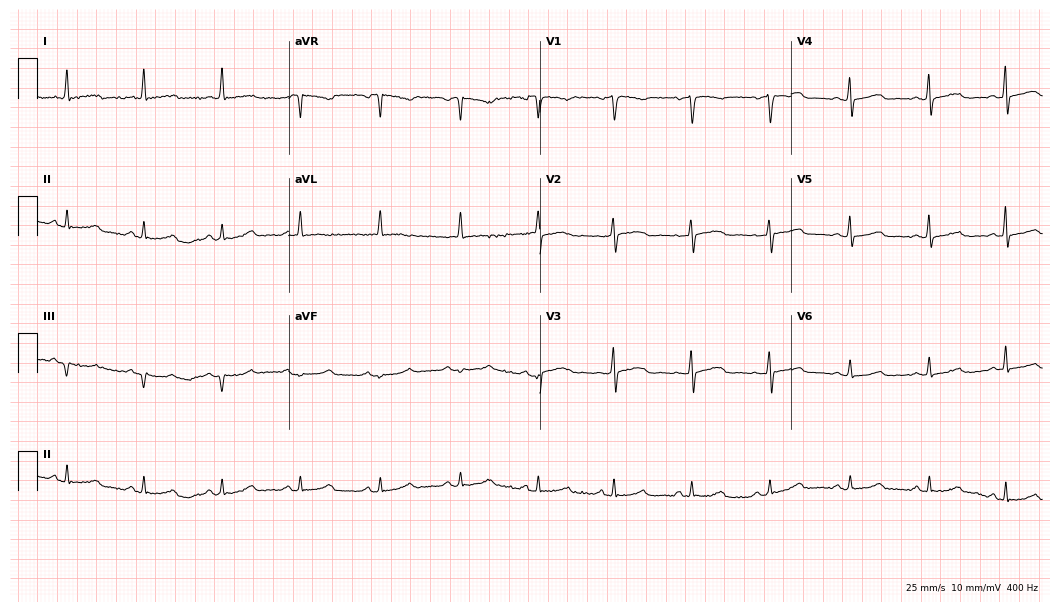
Resting 12-lead electrocardiogram. Patient: a 74-year-old female. None of these six findings is recorded: first-degree AV block, right bundle branch block, left bundle branch block, sinus bradycardia, atrial fibrillation, sinus tachycardia. Other findings, if any, are not listed.